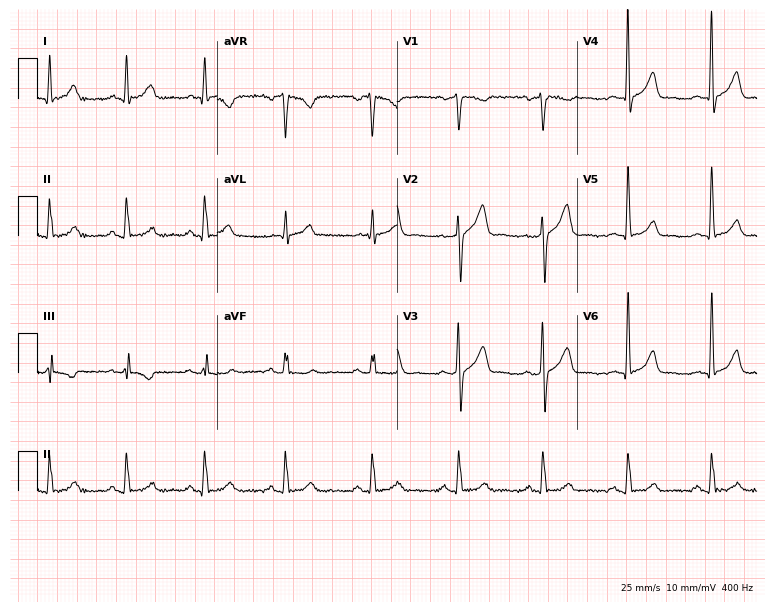
Standard 12-lead ECG recorded from a 49-year-old man (7.3-second recording at 400 Hz). Read as a normal ECG.